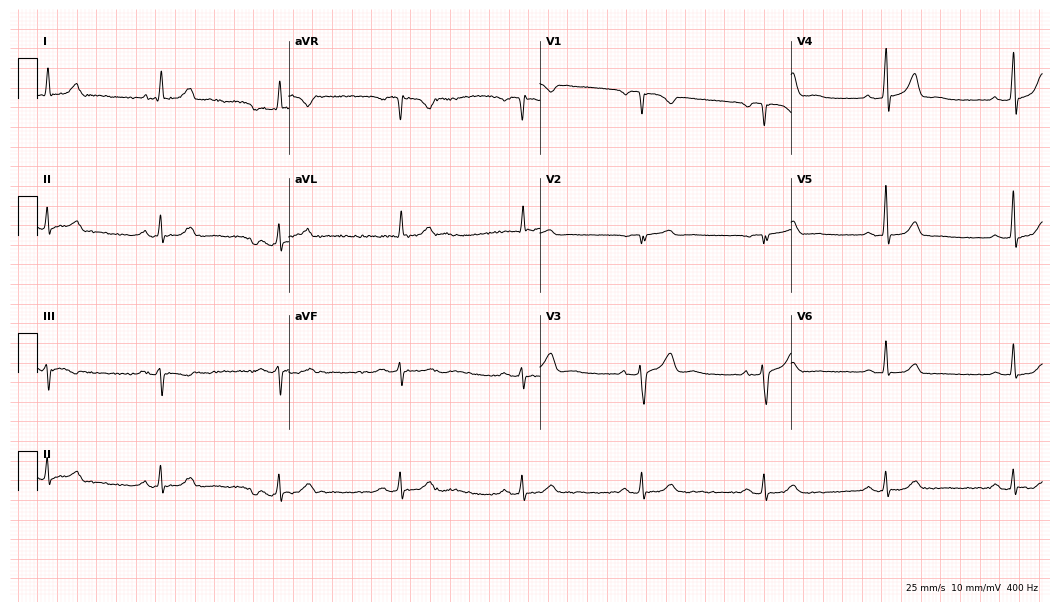
Electrocardiogram (10.2-second recording at 400 Hz), a 54-year-old male patient. Interpretation includes sinus bradycardia (a sinus rate of 50 beats per minute or less).